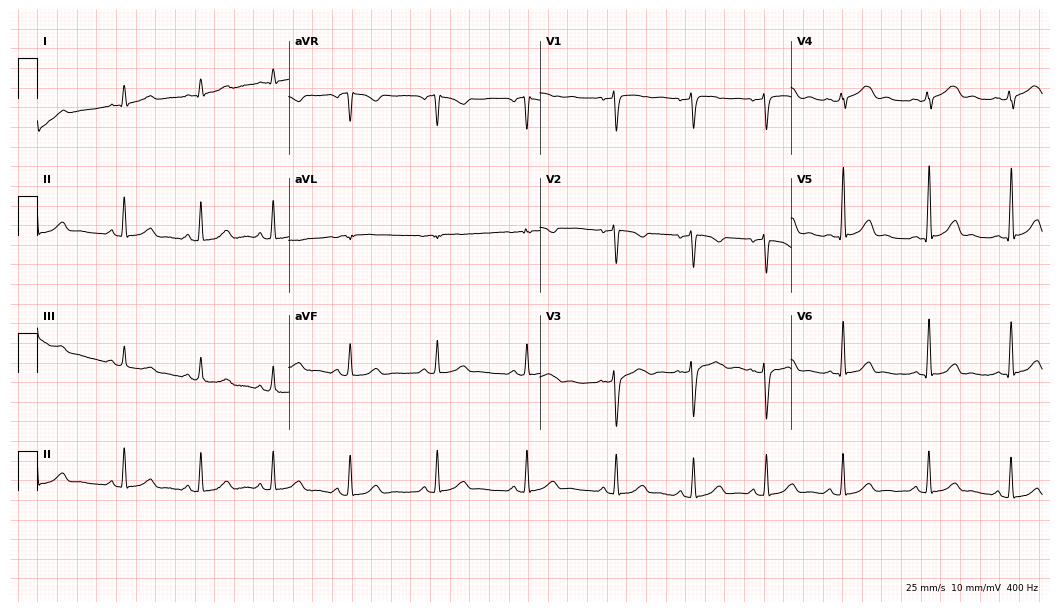
12-lead ECG from a 31-year-old female patient. Labelled as a normal ECG.